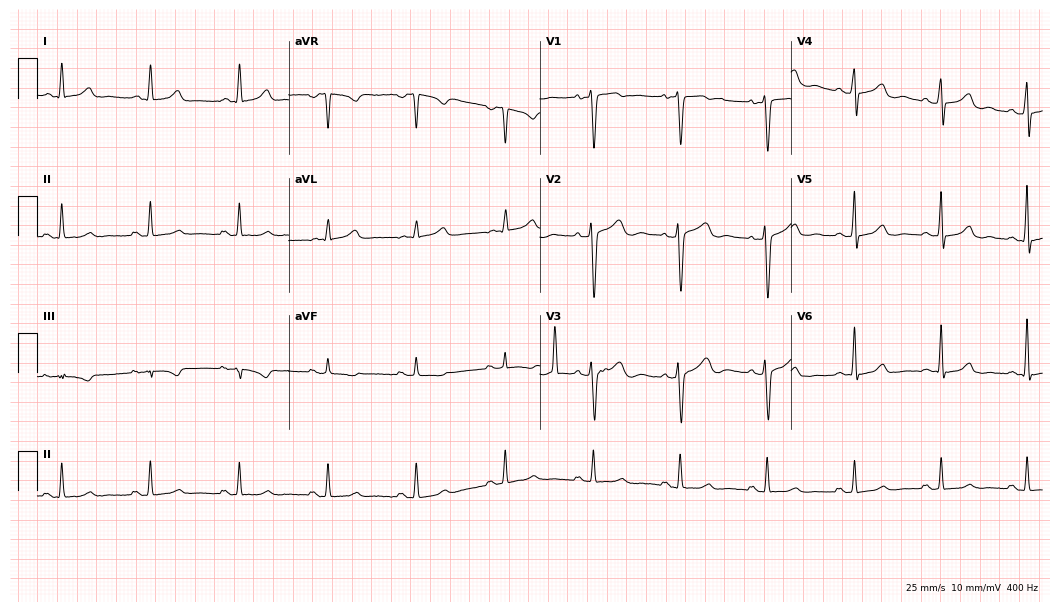
Electrocardiogram, a 59-year-old female patient. Overall reading on record: normal ECG.